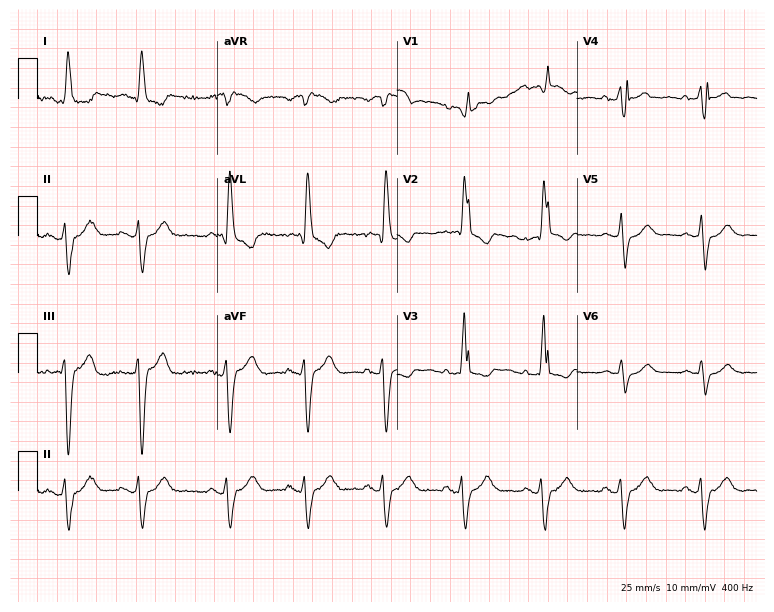
Standard 12-lead ECG recorded from a female, 79 years old (7.3-second recording at 400 Hz). The tracing shows right bundle branch block (RBBB).